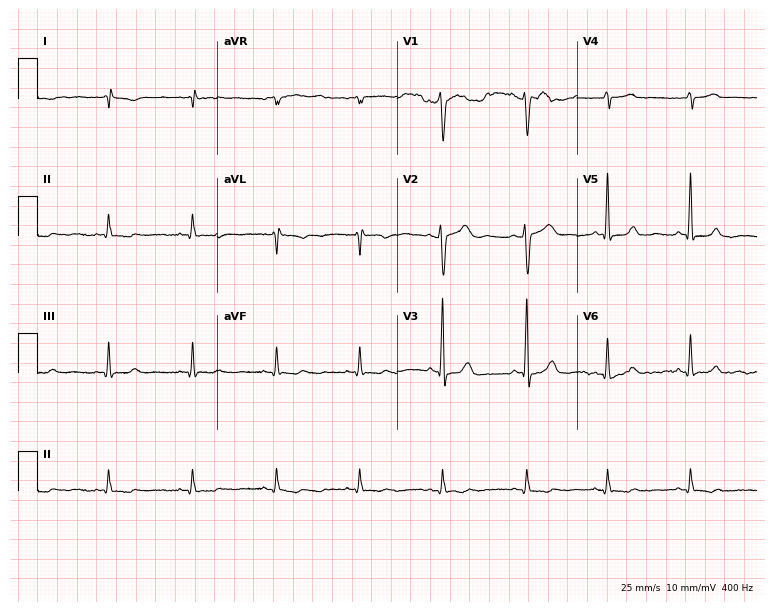
12-lead ECG from a 52-year-old female patient. No first-degree AV block, right bundle branch block, left bundle branch block, sinus bradycardia, atrial fibrillation or sinus tachycardia recorded for this tracing.